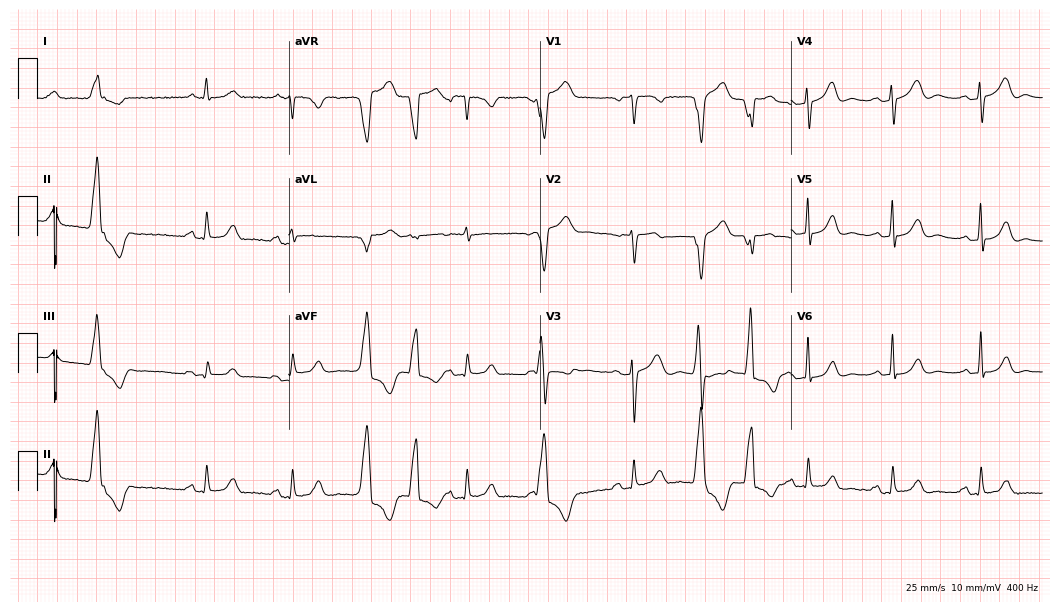
12-lead ECG from a woman, 85 years old. Screened for six findings — first-degree AV block, right bundle branch block, left bundle branch block, sinus bradycardia, atrial fibrillation, sinus tachycardia — none is recorded.